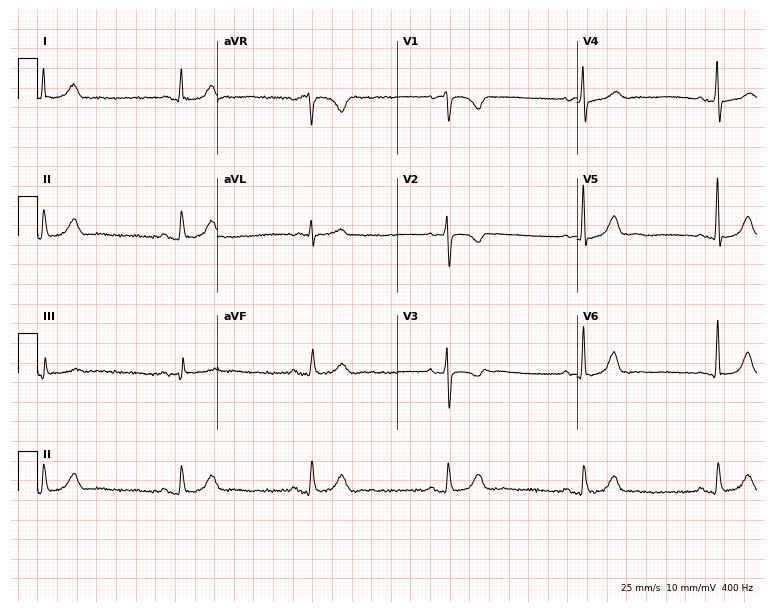
ECG — a female patient, 65 years old. Findings include sinus bradycardia (a sinus rate of 50 beats per minute or less).